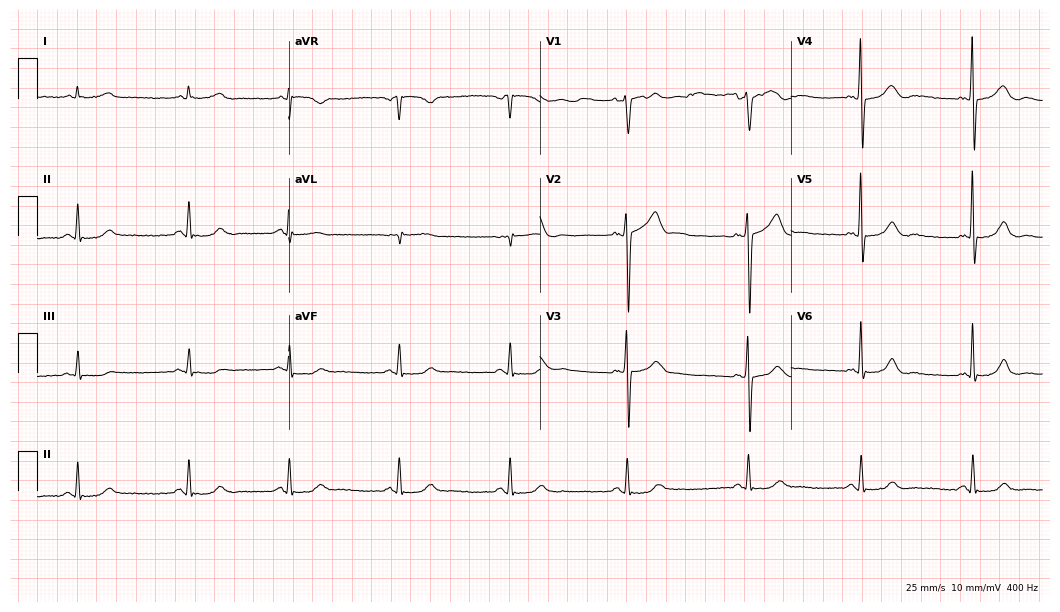
Standard 12-lead ECG recorded from a 60-year-old male (10.2-second recording at 400 Hz). The tracing shows sinus bradycardia (a sinus rate of 50 beats per minute or less).